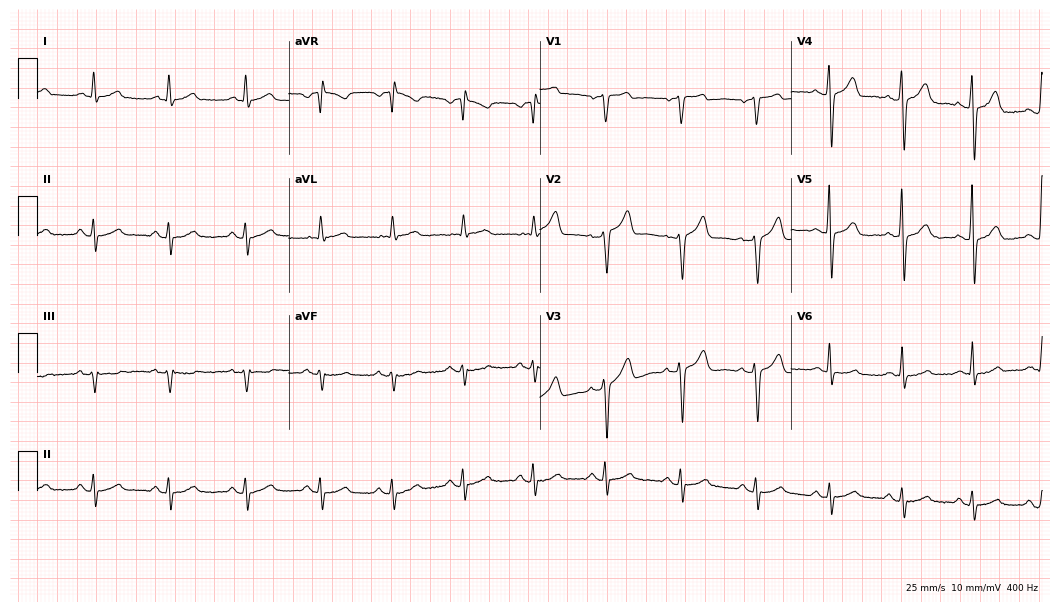
12-lead ECG from a 57-year-old man. No first-degree AV block, right bundle branch block (RBBB), left bundle branch block (LBBB), sinus bradycardia, atrial fibrillation (AF) or sinus tachycardia recorded for this tracing.